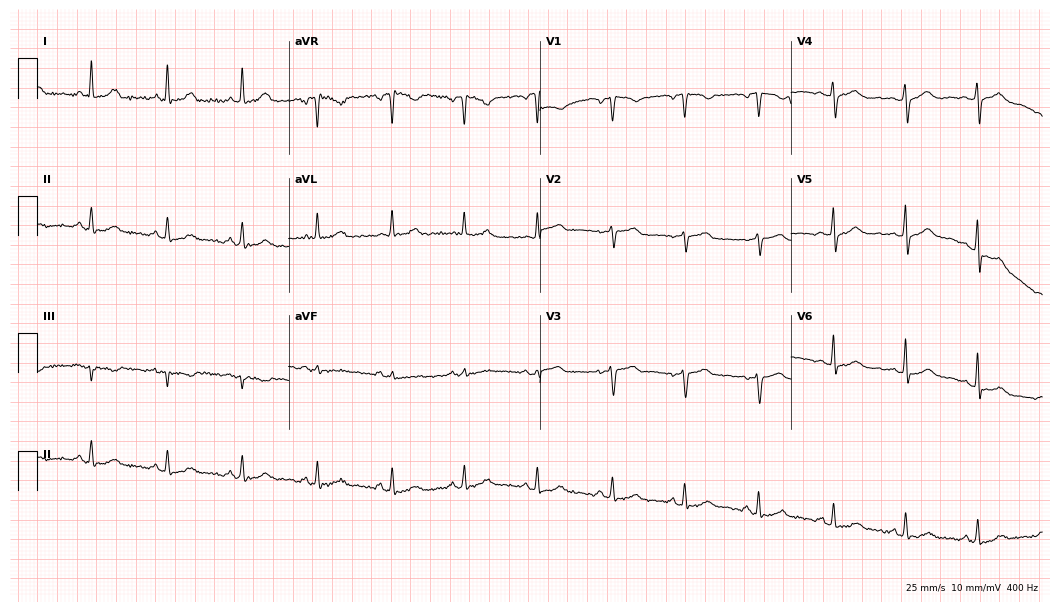
Electrocardiogram, a female, 55 years old. Overall reading on record: normal ECG.